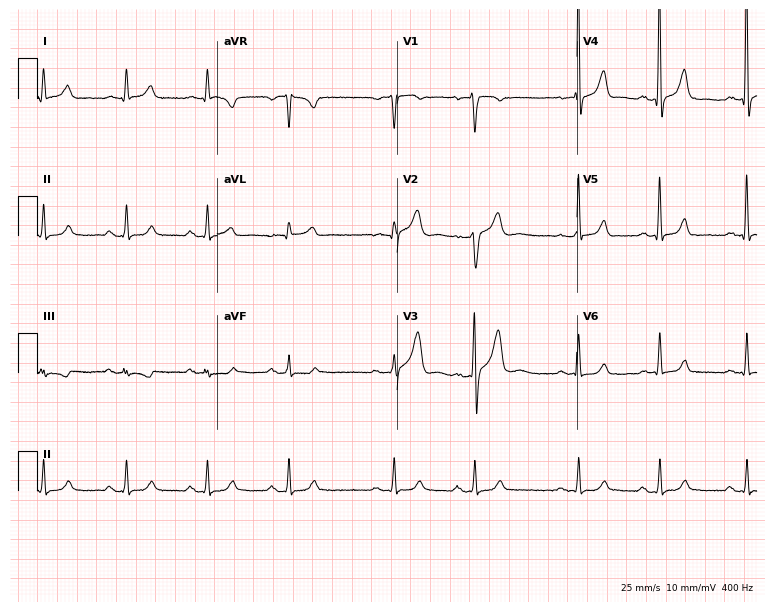
Electrocardiogram, a 53-year-old male patient. Overall reading on record: normal ECG.